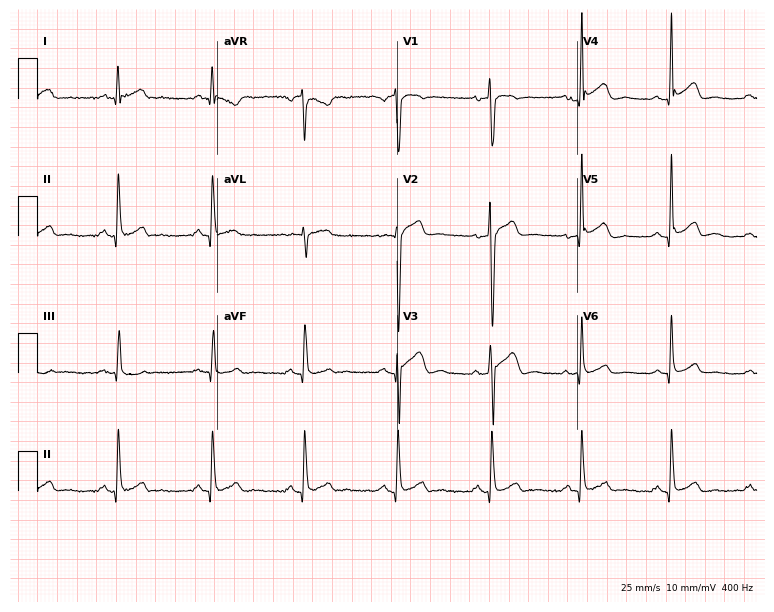
Electrocardiogram (7.3-second recording at 400 Hz), a man, 42 years old. Of the six screened findings (first-degree AV block, right bundle branch block, left bundle branch block, sinus bradycardia, atrial fibrillation, sinus tachycardia), none is recorded. Findings outside these six are not listed.